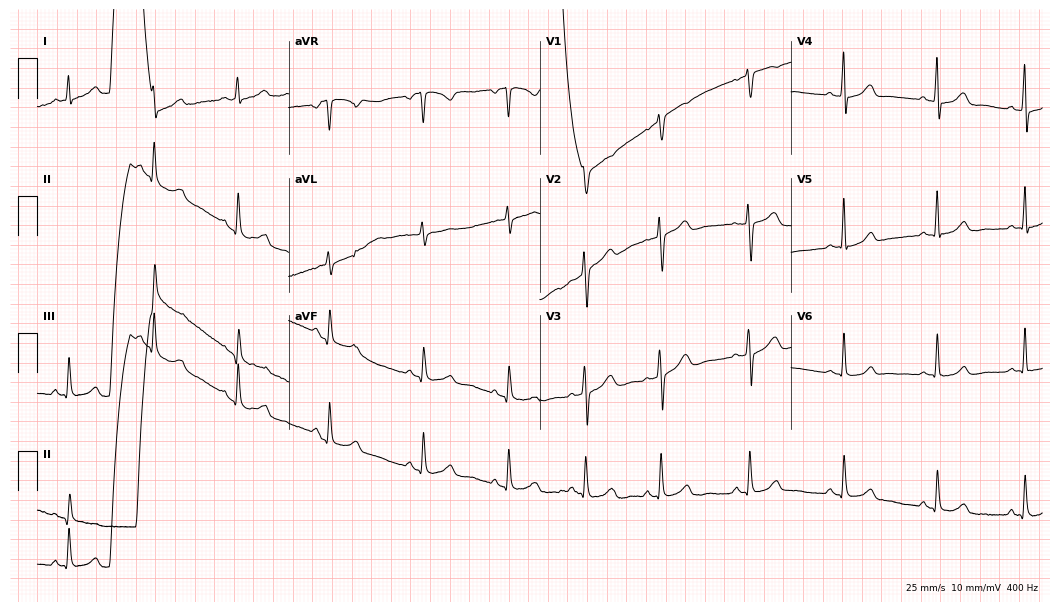
Electrocardiogram, a 45-year-old woman. Overall reading on record: normal ECG.